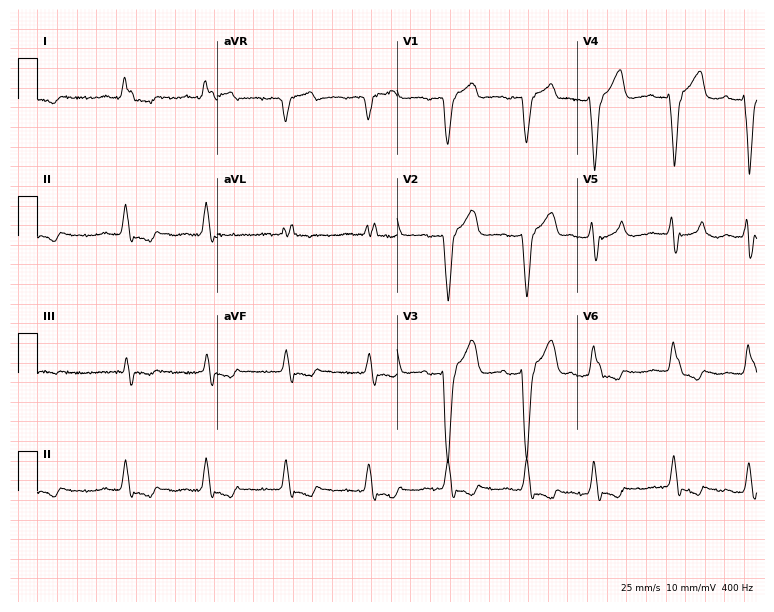
Electrocardiogram, a male, 80 years old. Interpretation includes left bundle branch block.